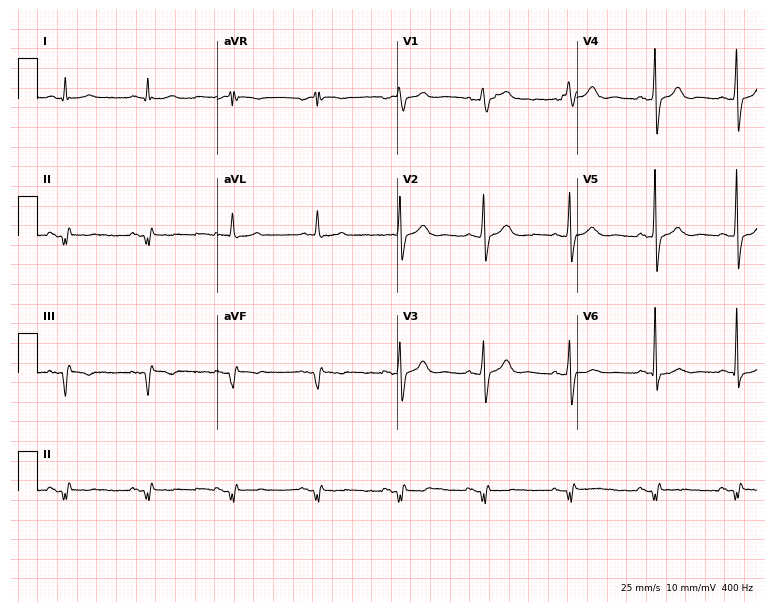
12-lead ECG from a 67-year-old male patient. No first-degree AV block, right bundle branch block, left bundle branch block, sinus bradycardia, atrial fibrillation or sinus tachycardia recorded for this tracing.